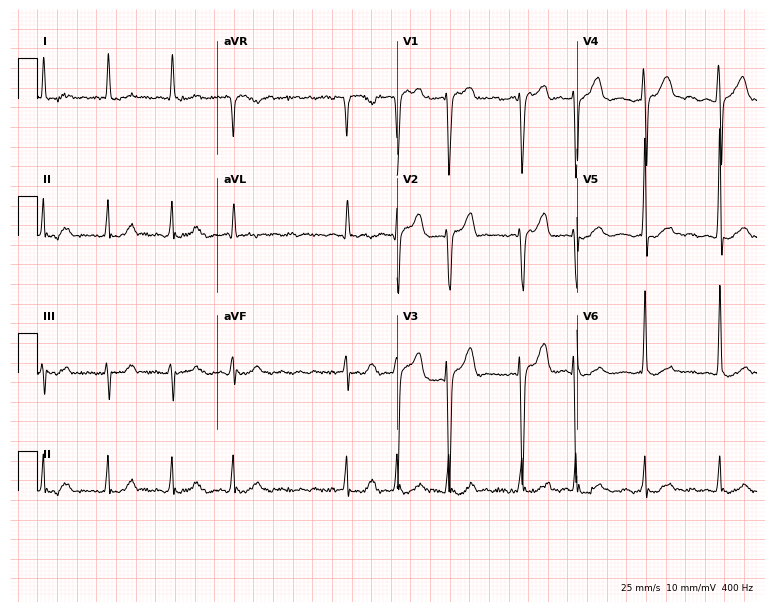
Resting 12-lead electrocardiogram (7.3-second recording at 400 Hz). Patient: a male, 62 years old. The tracing shows atrial fibrillation (AF).